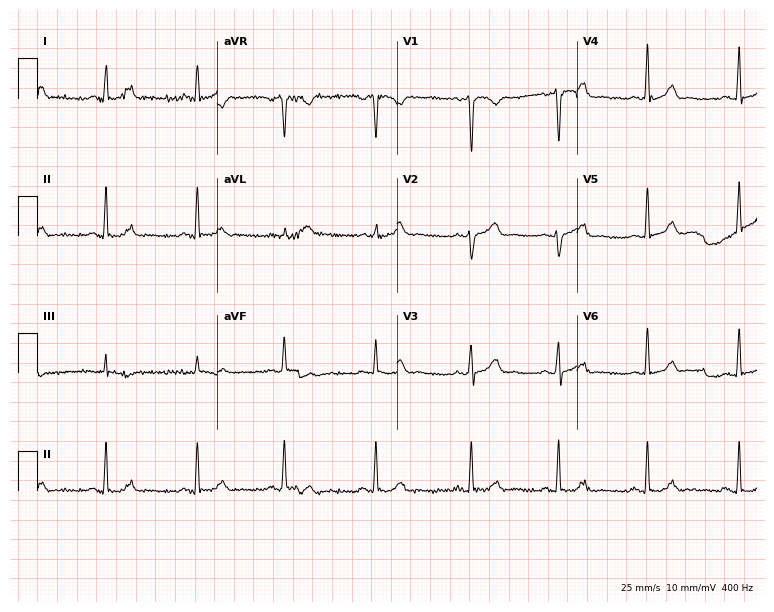
12-lead ECG from a 36-year-old female patient. Recorded interpretation: within normal limits.